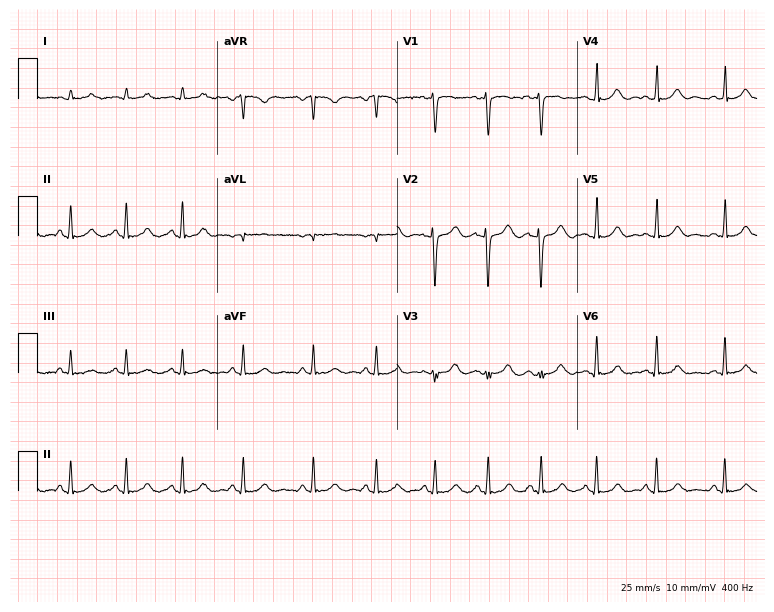
12-lead ECG from a female patient, 25 years old (7.3-second recording at 400 Hz). Recorded interpretation: within normal limits.